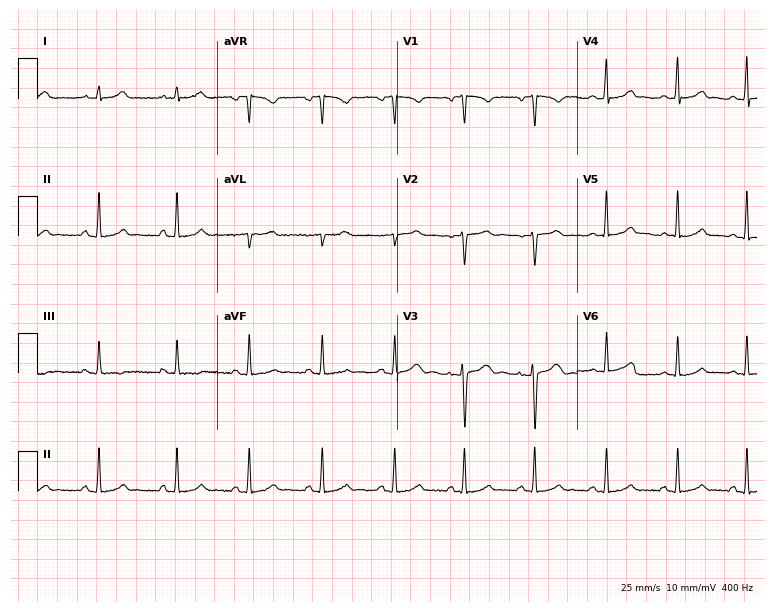
Standard 12-lead ECG recorded from a 26-year-old woman (7.3-second recording at 400 Hz). None of these six findings is recorded: first-degree AV block, right bundle branch block, left bundle branch block, sinus bradycardia, atrial fibrillation, sinus tachycardia. Only these six findings were labelled.